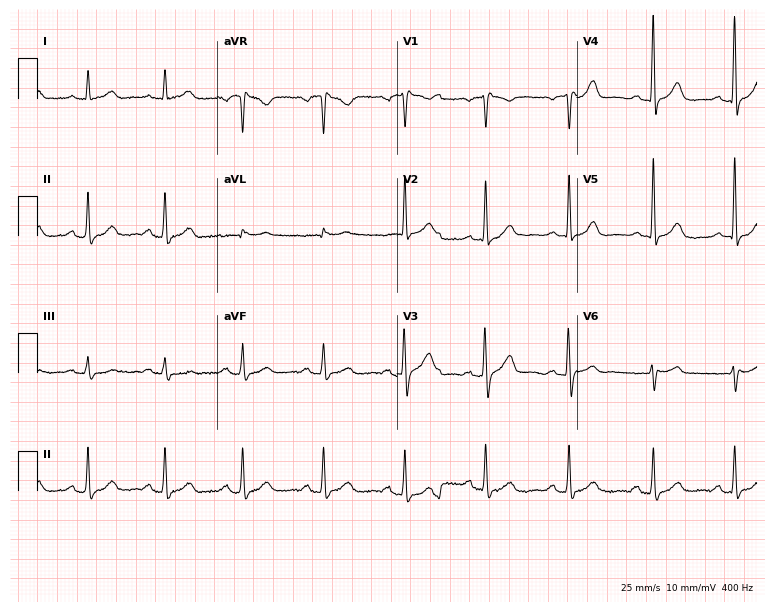
12-lead ECG from a male patient, 71 years old (7.3-second recording at 400 Hz). Recorded interpretation: within normal limits.